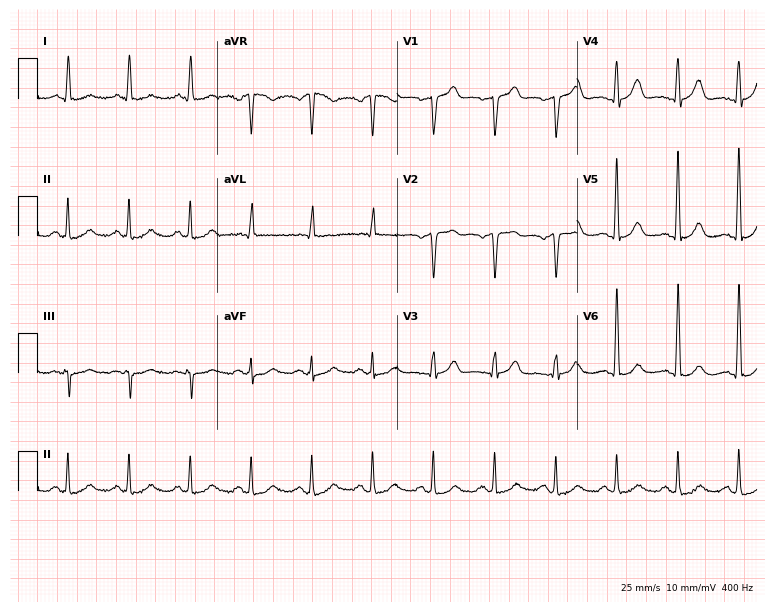
Resting 12-lead electrocardiogram (7.3-second recording at 400 Hz). Patient: a 64-year-old male. Read as a normal ECG.